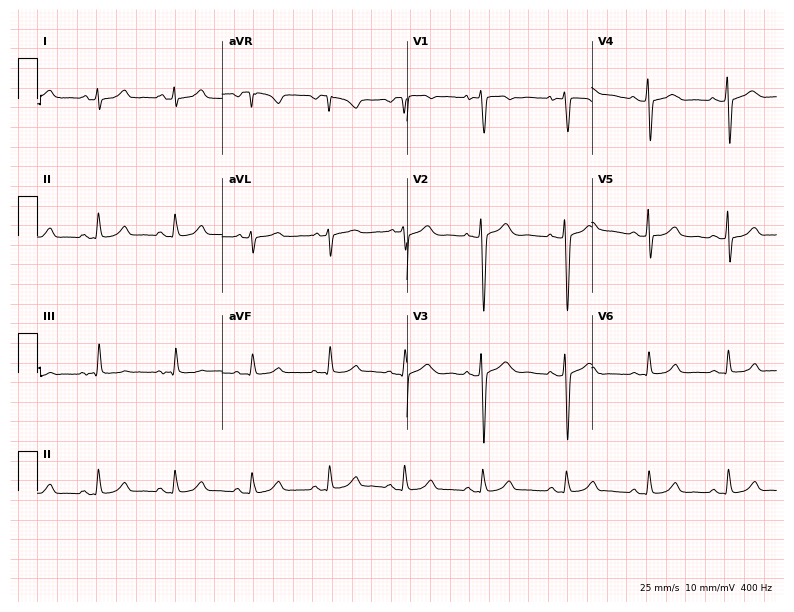
Resting 12-lead electrocardiogram (7.5-second recording at 400 Hz). Patient: a 33-year-old woman. Read as a normal ECG.